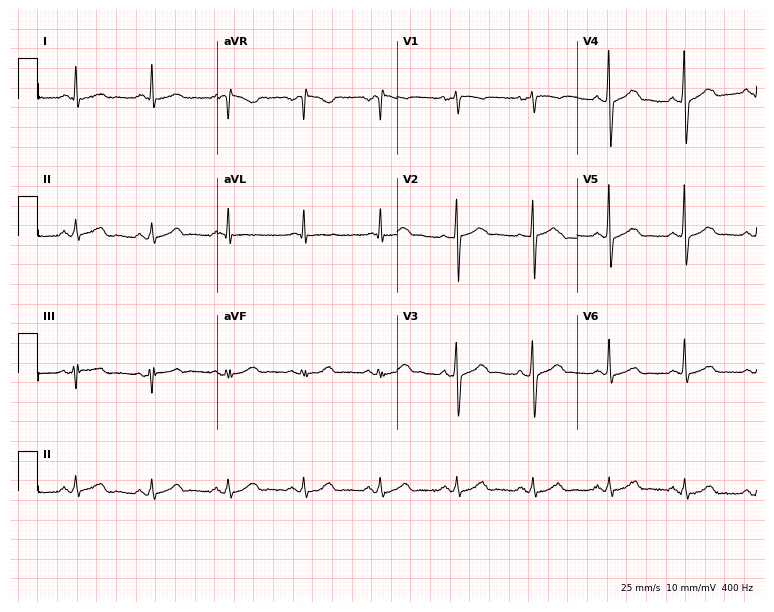
Resting 12-lead electrocardiogram (7.3-second recording at 400 Hz). Patient: a 56-year-old male. Read as a normal ECG.